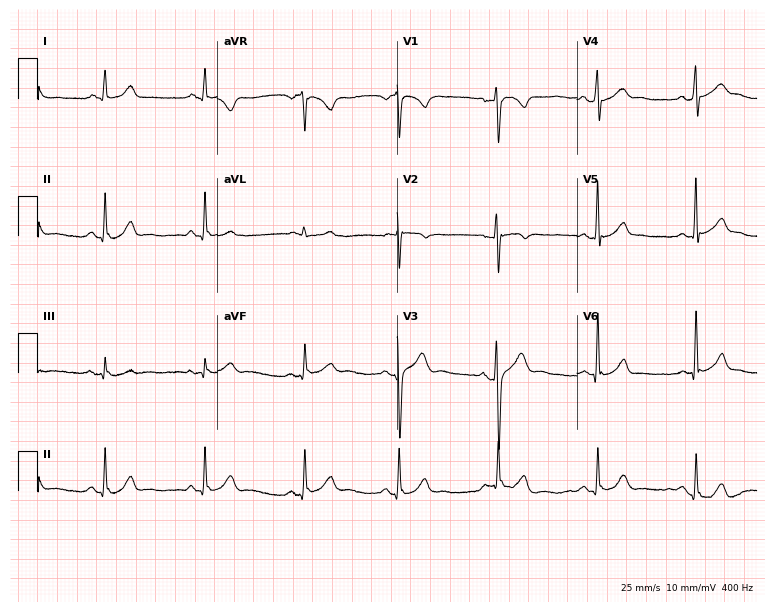
Resting 12-lead electrocardiogram. Patient: a man, 33 years old. Read as a normal ECG.